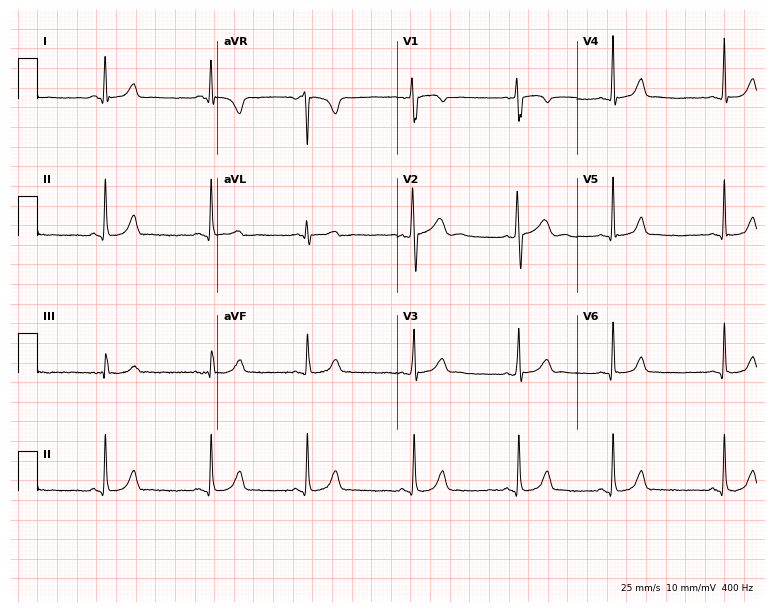
Electrocardiogram (7.3-second recording at 400 Hz), a female patient, 19 years old. Overall reading on record: normal ECG.